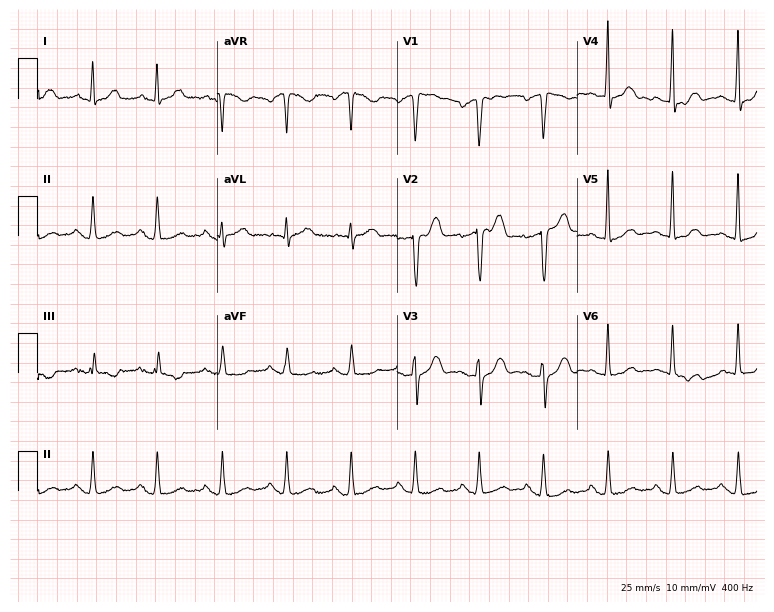
Electrocardiogram (7.3-second recording at 400 Hz), a 61-year-old man. Of the six screened findings (first-degree AV block, right bundle branch block, left bundle branch block, sinus bradycardia, atrial fibrillation, sinus tachycardia), none is recorded.